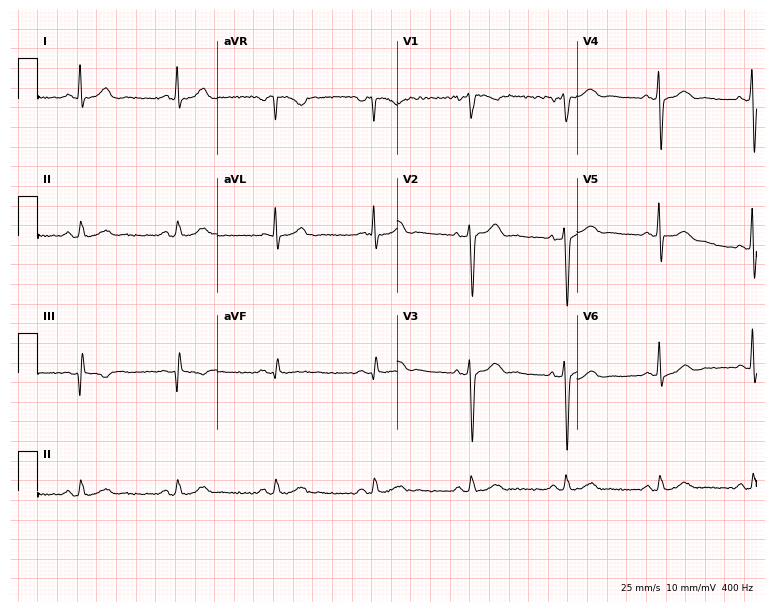
ECG (7.3-second recording at 400 Hz) — a 52-year-old male patient. Screened for six findings — first-degree AV block, right bundle branch block (RBBB), left bundle branch block (LBBB), sinus bradycardia, atrial fibrillation (AF), sinus tachycardia — none is recorded.